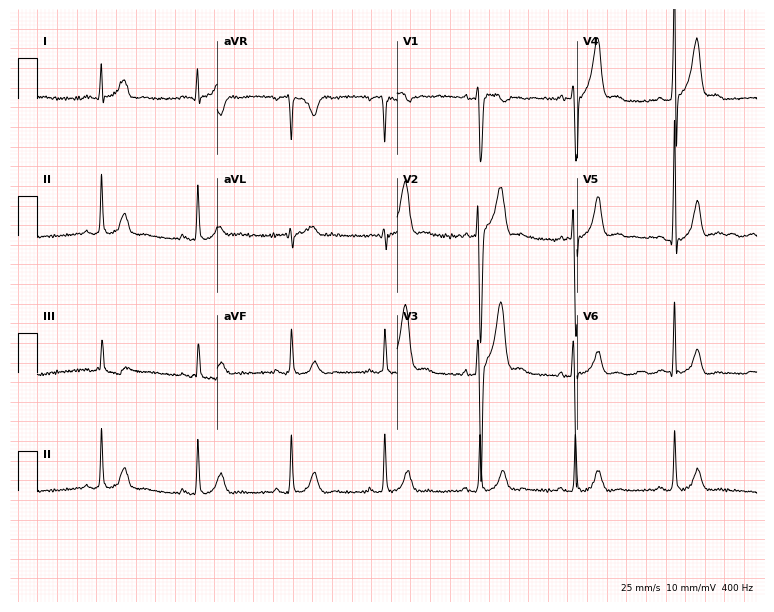
Electrocardiogram, a male patient, 25 years old. Overall reading on record: normal ECG.